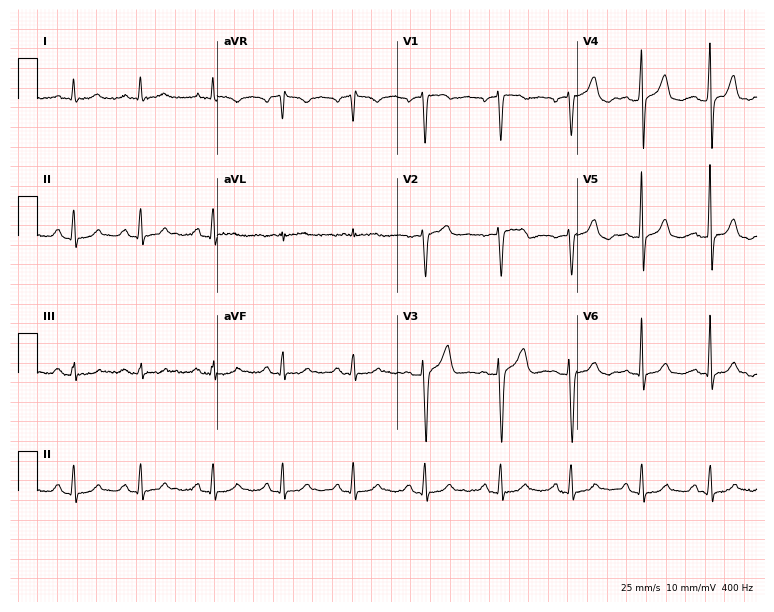
Standard 12-lead ECG recorded from a male, 66 years old (7.3-second recording at 400 Hz). Read as a normal ECG.